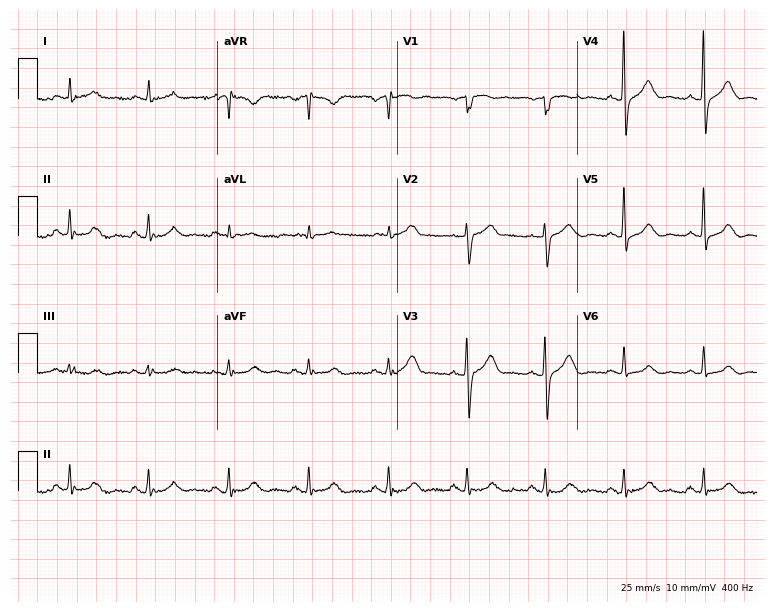
12-lead ECG from a 61-year-old male. Labelled as a normal ECG.